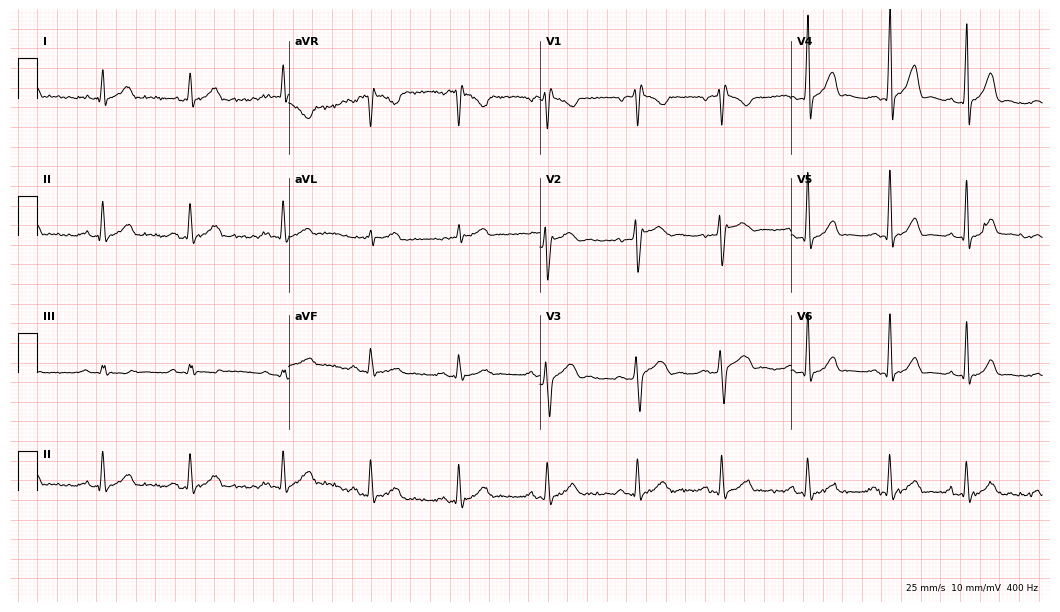
Resting 12-lead electrocardiogram (10.2-second recording at 400 Hz). Patient: a male, 42 years old. None of these six findings is recorded: first-degree AV block, right bundle branch block, left bundle branch block, sinus bradycardia, atrial fibrillation, sinus tachycardia. Other findings, if any, are not listed.